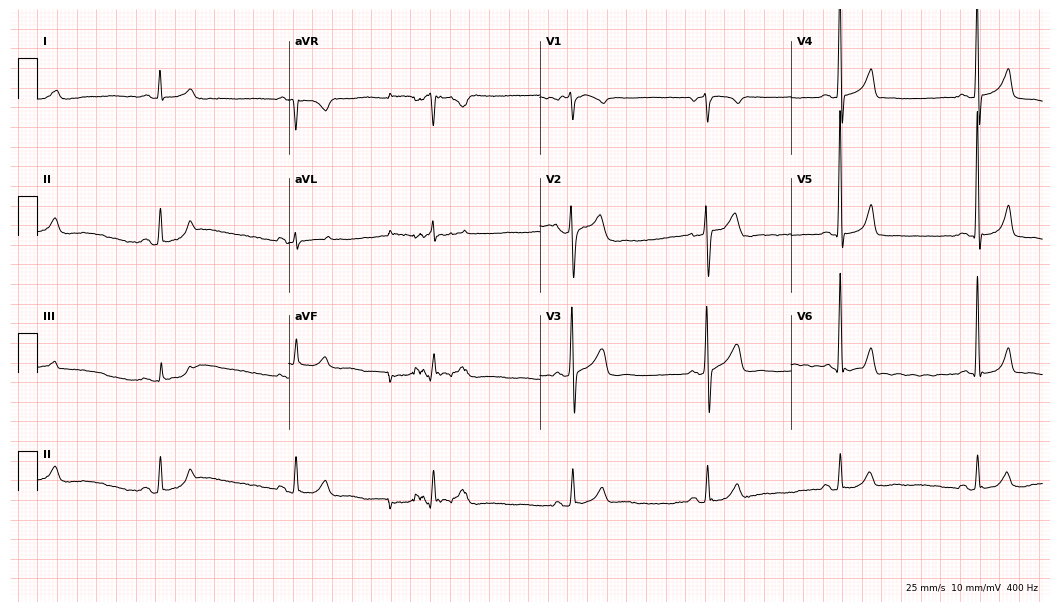
12-lead ECG from a 63-year-old male patient (10.2-second recording at 400 Hz). No first-degree AV block, right bundle branch block, left bundle branch block, sinus bradycardia, atrial fibrillation or sinus tachycardia recorded for this tracing. Findings outside these six are not listed.